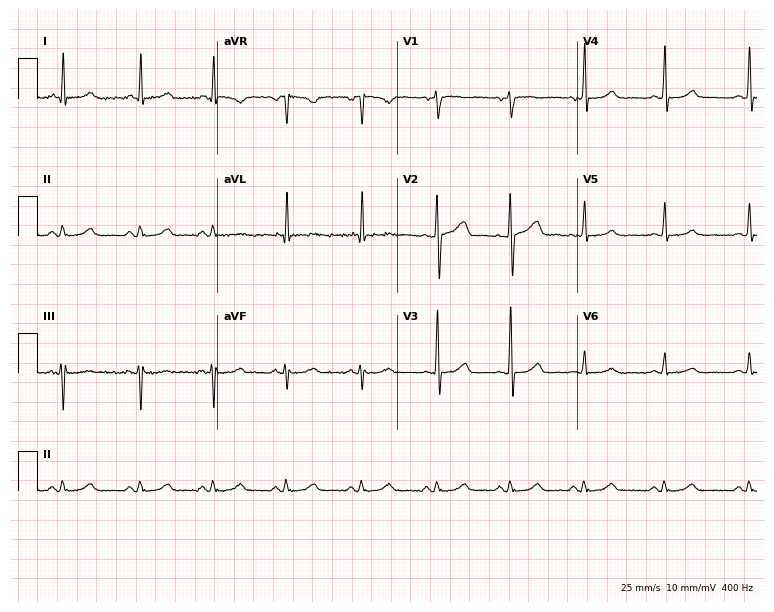
ECG — a 41-year-old male patient. Labelled as a normal ECG.